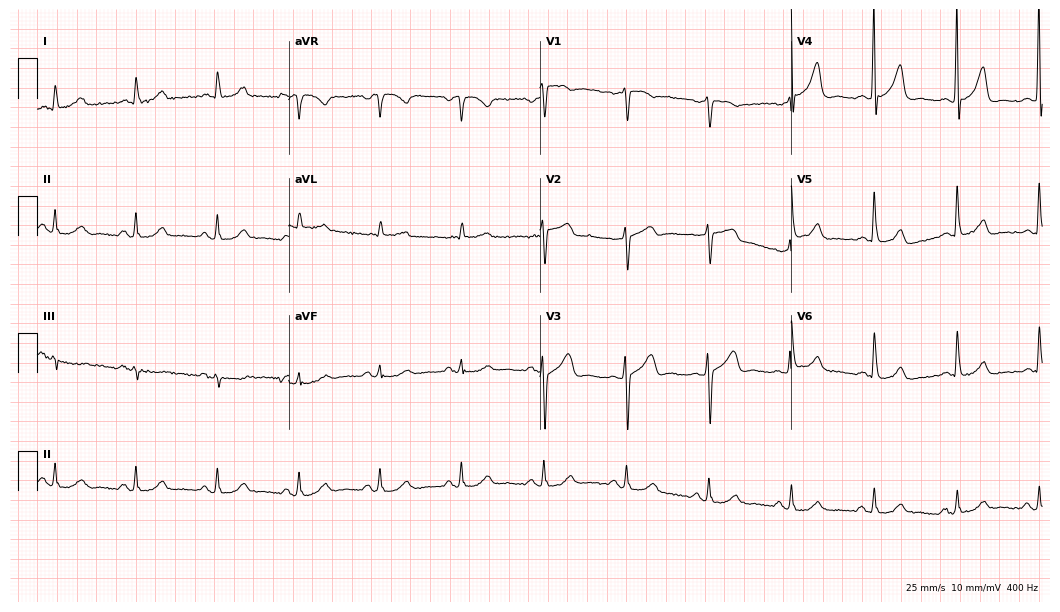
Standard 12-lead ECG recorded from a female patient, 75 years old (10.2-second recording at 400 Hz). None of these six findings is recorded: first-degree AV block, right bundle branch block, left bundle branch block, sinus bradycardia, atrial fibrillation, sinus tachycardia. Findings outside these six are not listed.